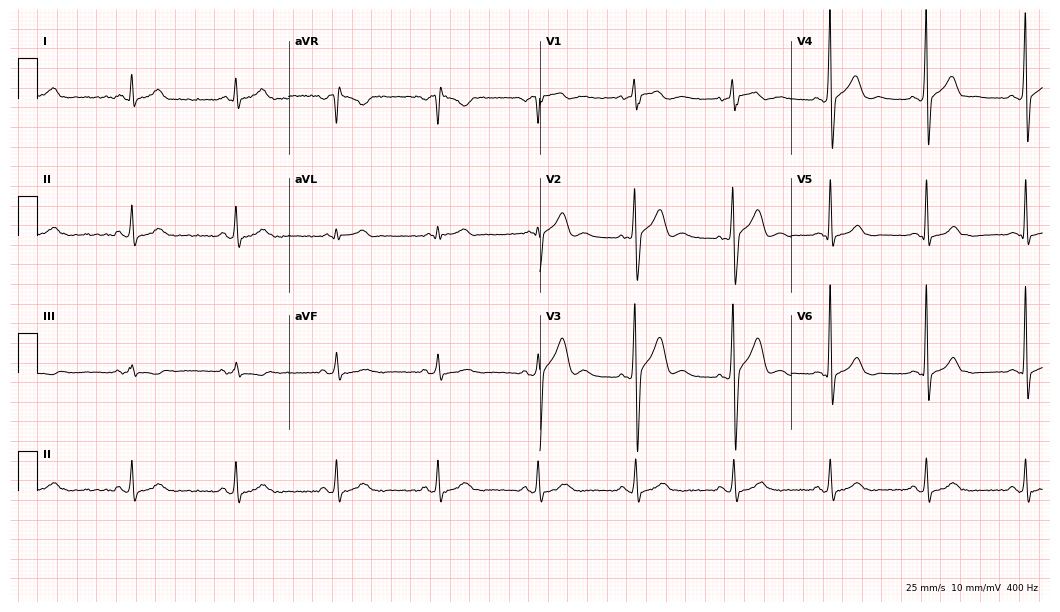
ECG — a male, 32 years old. Screened for six findings — first-degree AV block, right bundle branch block, left bundle branch block, sinus bradycardia, atrial fibrillation, sinus tachycardia — none is recorded. Findings outside these six are not listed.